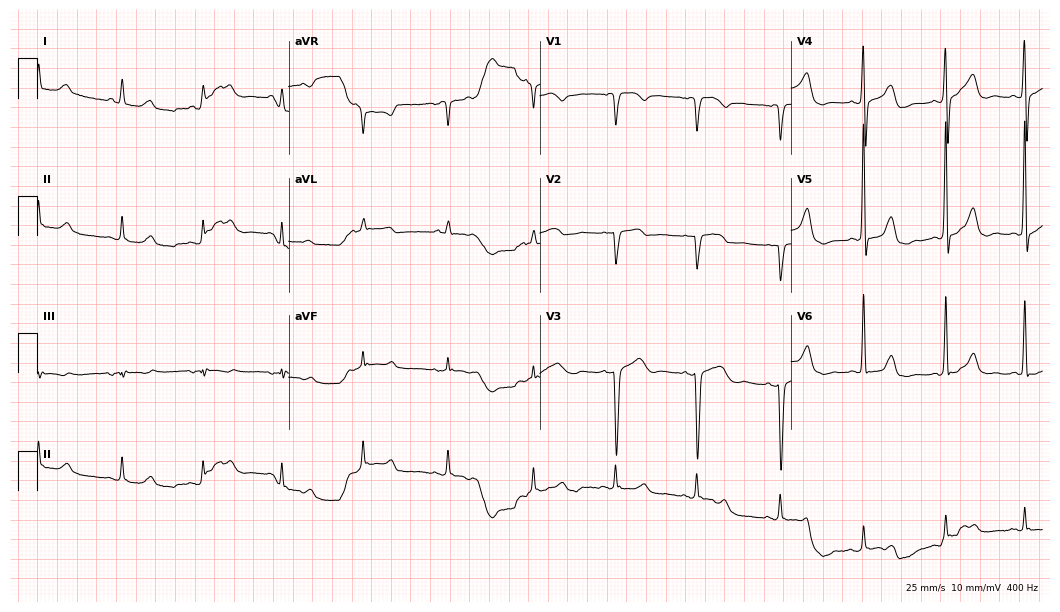
Standard 12-lead ECG recorded from a 53-year-old female patient. None of these six findings is recorded: first-degree AV block, right bundle branch block, left bundle branch block, sinus bradycardia, atrial fibrillation, sinus tachycardia. Other findings, if any, are not listed.